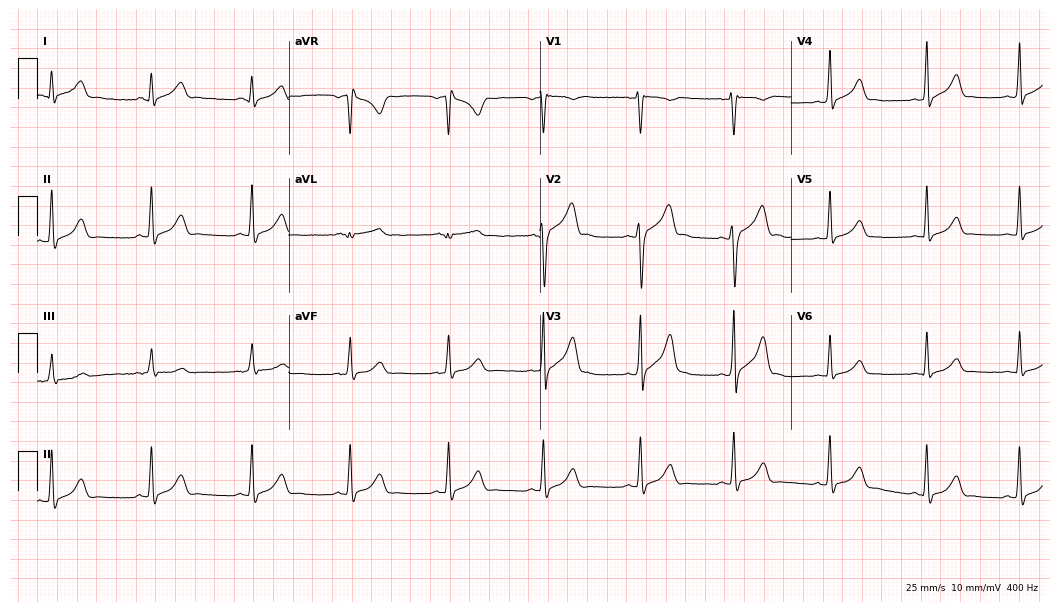
12-lead ECG (10.2-second recording at 400 Hz) from a man, 18 years old. Labelled as a normal ECG.